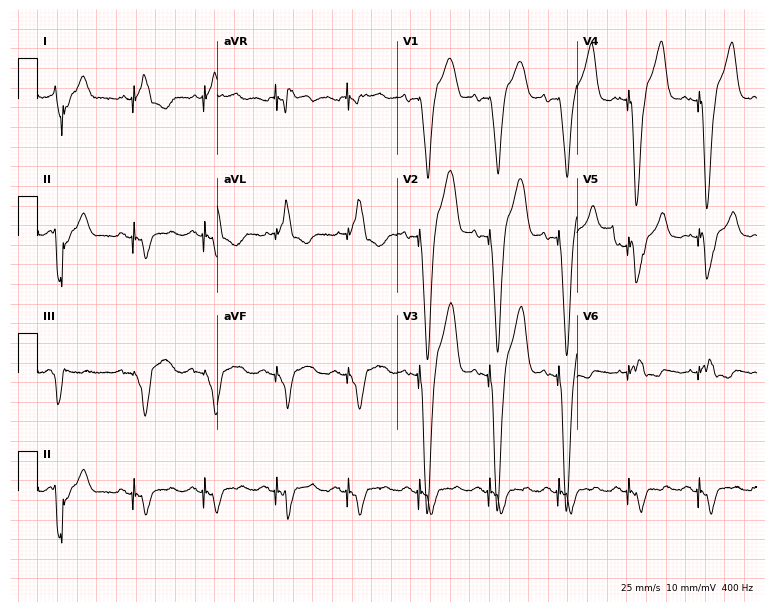
Electrocardiogram, an 82-year-old male patient. Of the six screened findings (first-degree AV block, right bundle branch block, left bundle branch block, sinus bradycardia, atrial fibrillation, sinus tachycardia), none is recorded. Only these six findings were labelled.